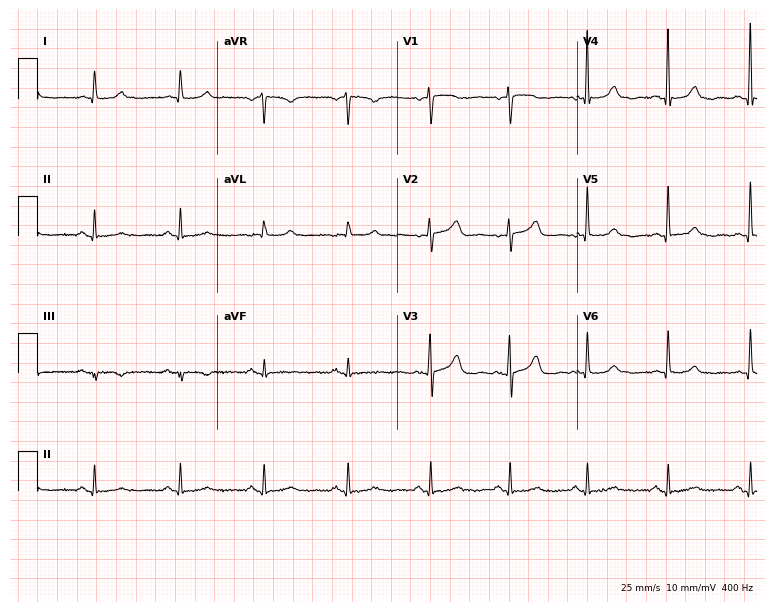
Standard 12-lead ECG recorded from a female, 73 years old (7.3-second recording at 400 Hz). None of these six findings is recorded: first-degree AV block, right bundle branch block, left bundle branch block, sinus bradycardia, atrial fibrillation, sinus tachycardia. Other findings, if any, are not listed.